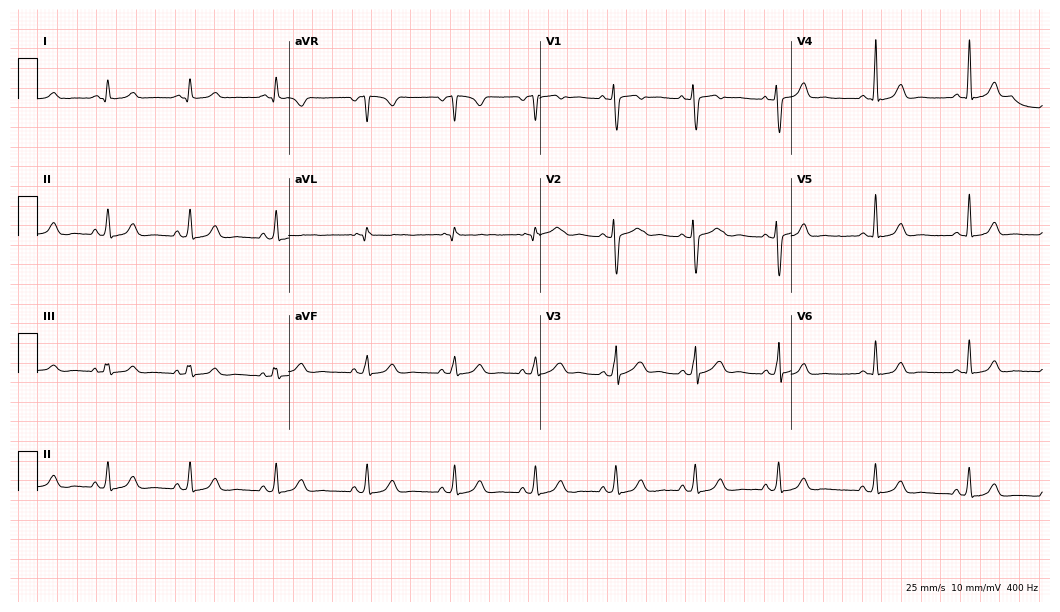
Standard 12-lead ECG recorded from a 31-year-old female patient. None of these six findings is recorded: first-degree AV block, right bundle branch block, left bundle branch block, sinus bradycardia, atrial fibrillation, sinus tachycardia.